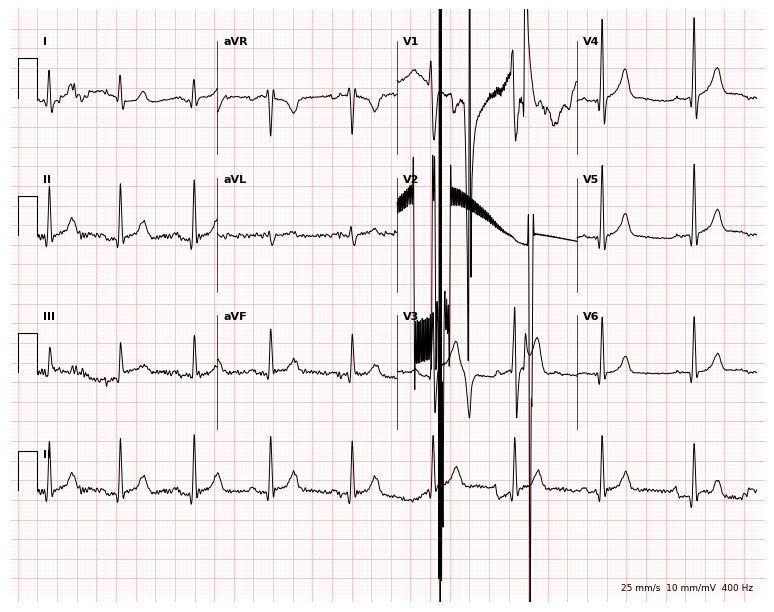
12-lead ECG from a 26-year-old man. Screened for six findings — first-degree AV block, right bundle branch block, left bundle branch block, sinus bradycardia, atrial fibrillation, sinus tachycardia — none is recorded.